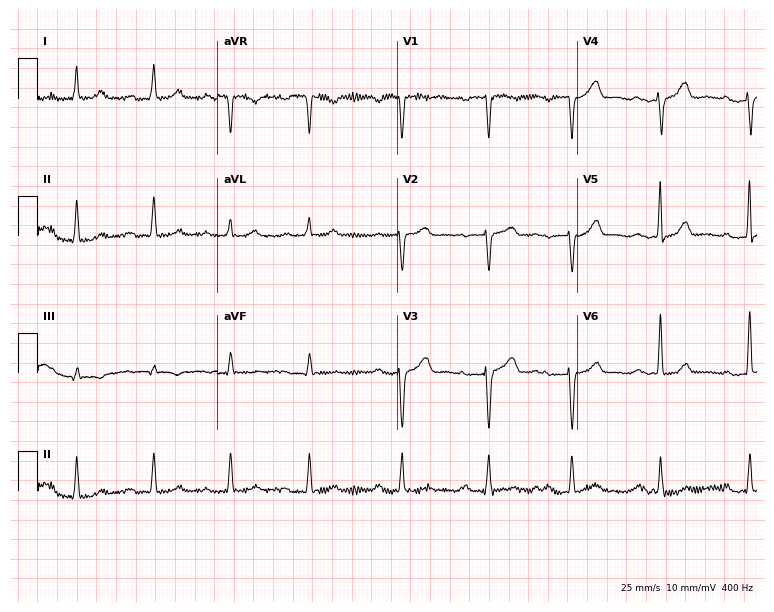
12-lead ECG from a 56-year-old woman (7.3-second recording at 400 Hz). Shows first-degree AV block.